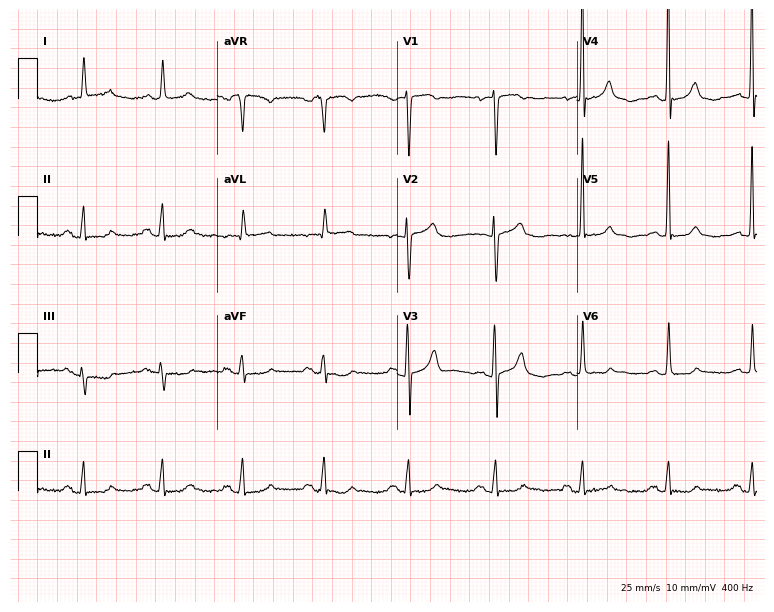
12-lead ECG from a woman, 63 years old. Screened for six findings — first-degree AV block, right bundle branch block, left bundle branch block, sinus bradycardia, atrial fibrillation, sinus tachycardia — none is recorded.